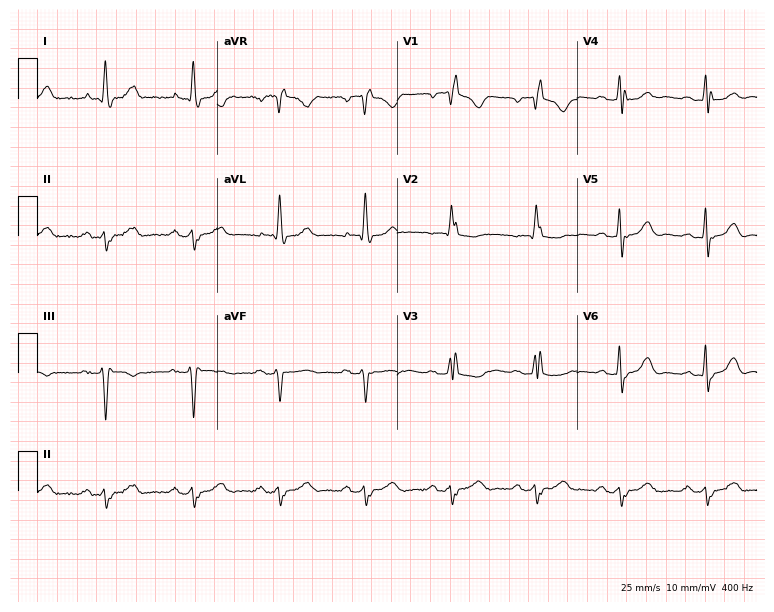
Resting 12-lead electrocardiogram (7.3-second recording at 400 Hz). Patient: a woman, 82 years old. The tracing shows right bundle branch block.